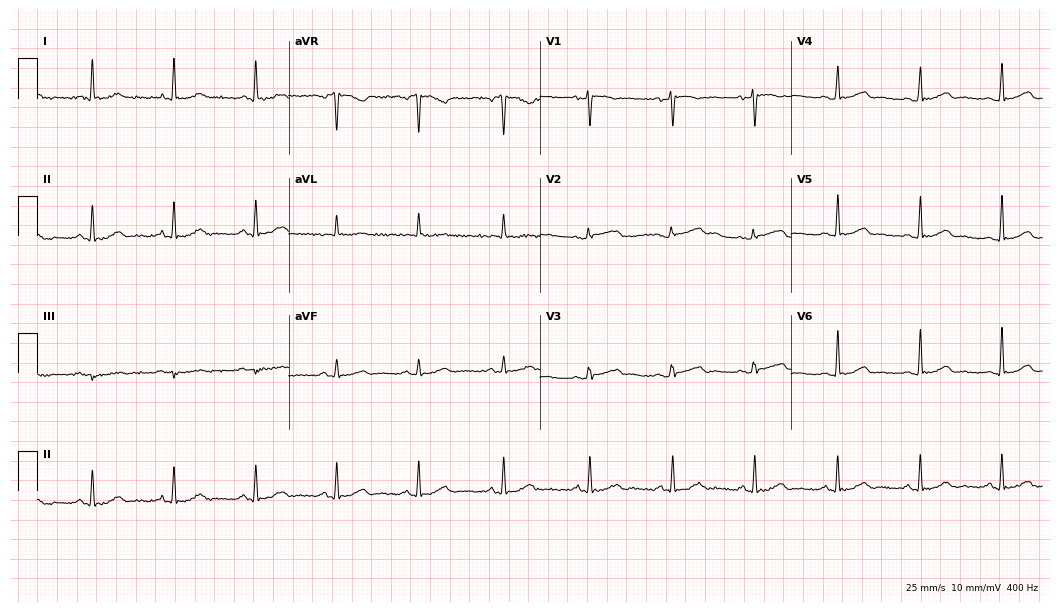
Electrocardiogram (10.2-second recording at 400 Hz), a 41-year-old female. Overall reading on record: normal ECG.